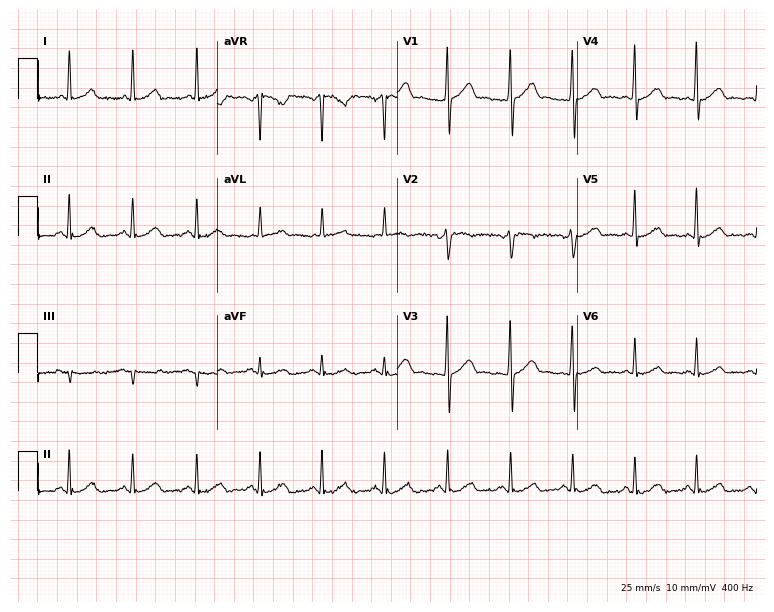
ECG (7.3-second recording at 400 Hz) — a male, 62 years old. Screened for six findings — first-degree AV block, right bundle branch block, left bundle branch block, sinus bradycardia, atrial fibrillation, sinus tachycardia — none is recorded. Only these six findings were labelled.